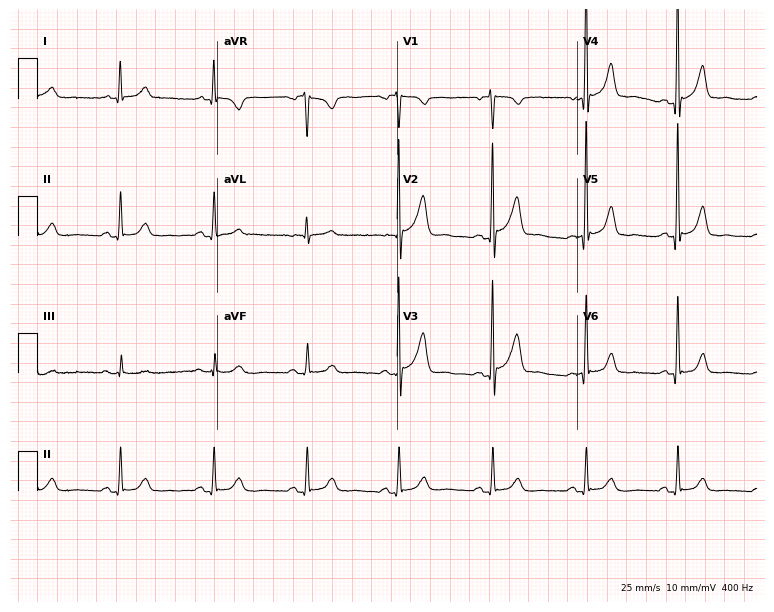
Standard 12-lead ECG recorded from a 45-year-old male patient (7.3-second recording at 400 Hz). Read as a normal ECG.